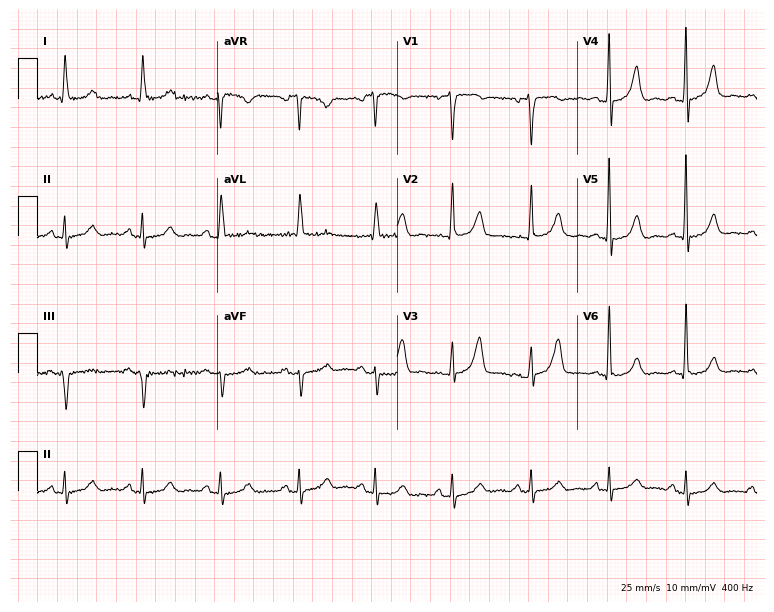
12-lead ECG from a 62-year-old female patient (7.3-second recording at 400 Hz). Recorded interpretation: within normal limits.